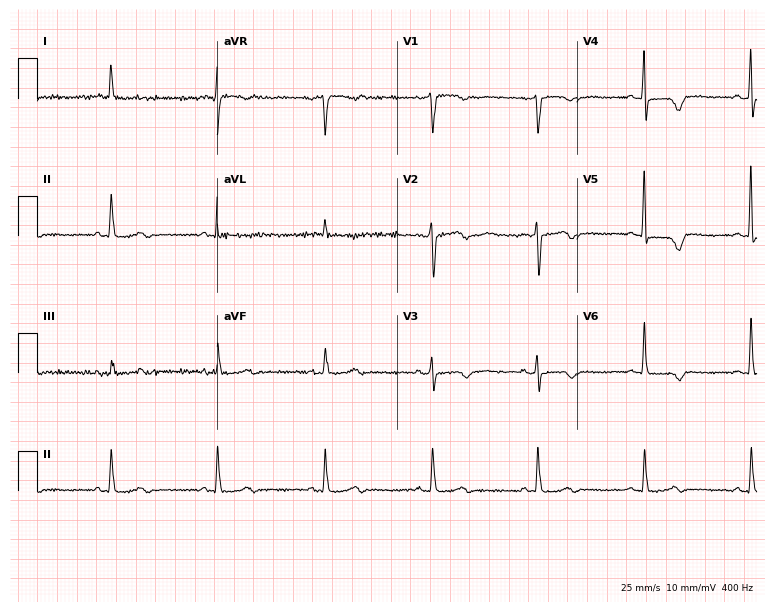
Resting 12-lead electrocardiogram (7.3-second recording at 400 Hz). Patient: a woman, 75 years old. None of these six findings is recorded: first-degree AV block, right bundle branch block, left bundle branch block, sinus bradycardia, atrial fibrillation, sinus tachycardia. Other findings, if any, are not listed.